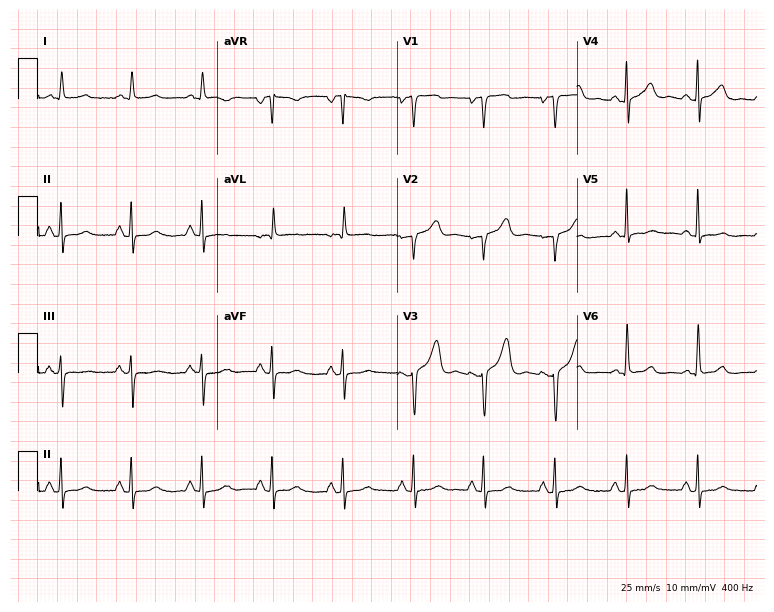
Standard 12-lead ECG recorded from a 67-year-old female patient (7.3-second recording at 400 Hz). None of these six findings is recorded: first-degree AV block, right bundle branch block, left bundle branch block, sinus bradycardia, atrial fibrillation, sinus tachycardia.